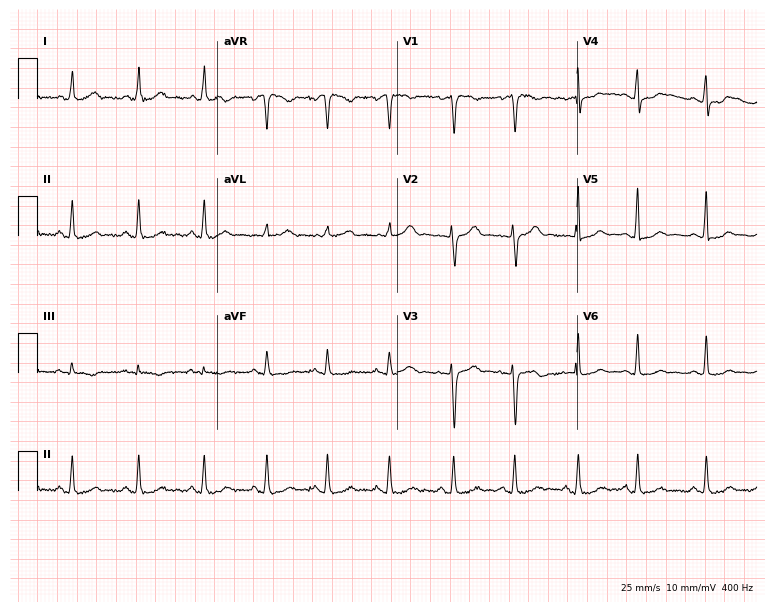
Electrocardiogram (7.3-second recording at 400 Hz), a 36-year-old female. Of the six screened findings (first-degree AV block, right bundle branch block, left bundle branch block, sinus bradycardia, atrial fibrillation, sinus tachycardia), none is recorded.